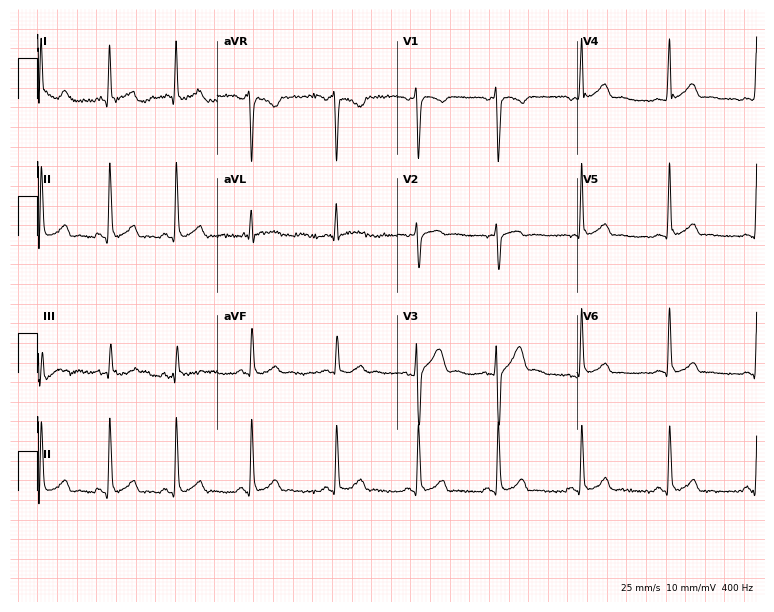
12-lead ECG from a 28-year-old male. Labelled as a normal ECG.